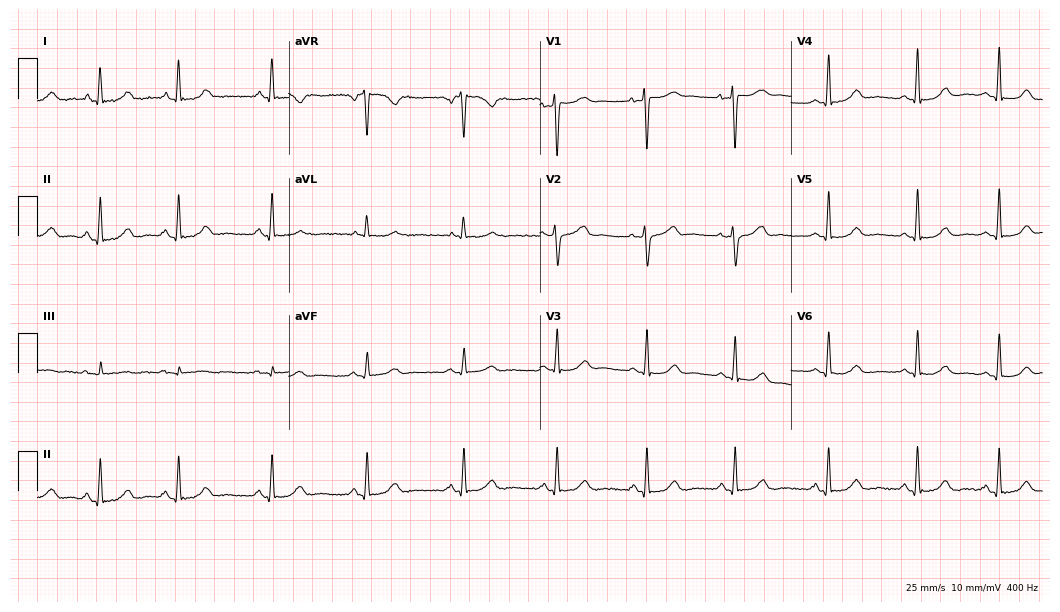
ECG (10.2-second recording at 400 Hz) — a female, 32 years old. Screened for six findings — first-degree AV block, right bundle branch block, left bundle branch block, sinus bradycardia, atrial fibrillation, sinus tachycardia — none is recorded.